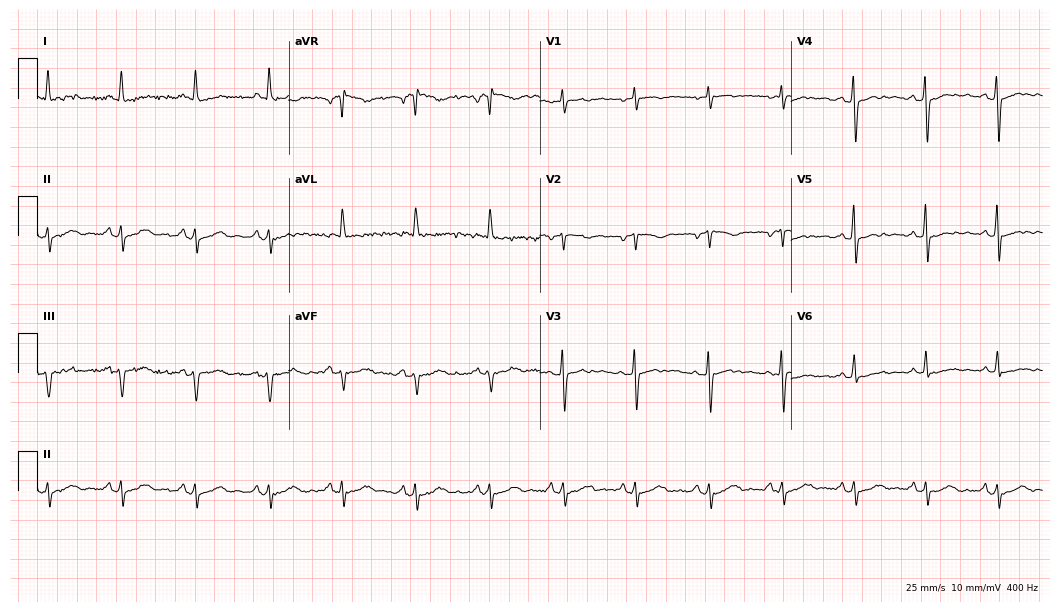
Resting 12-lead electrocardiogram (10.2-second recording at 400 Hz). Patient: a female, 71 years old. None of these six findings is recorded: first-degree AV block, right bundle branch block (RBBB), left bundle branch block (LBBB), sinus bradycardia, atrial fibrillation (AF), sinus tachycardia. Other findings, if any, are not listed.